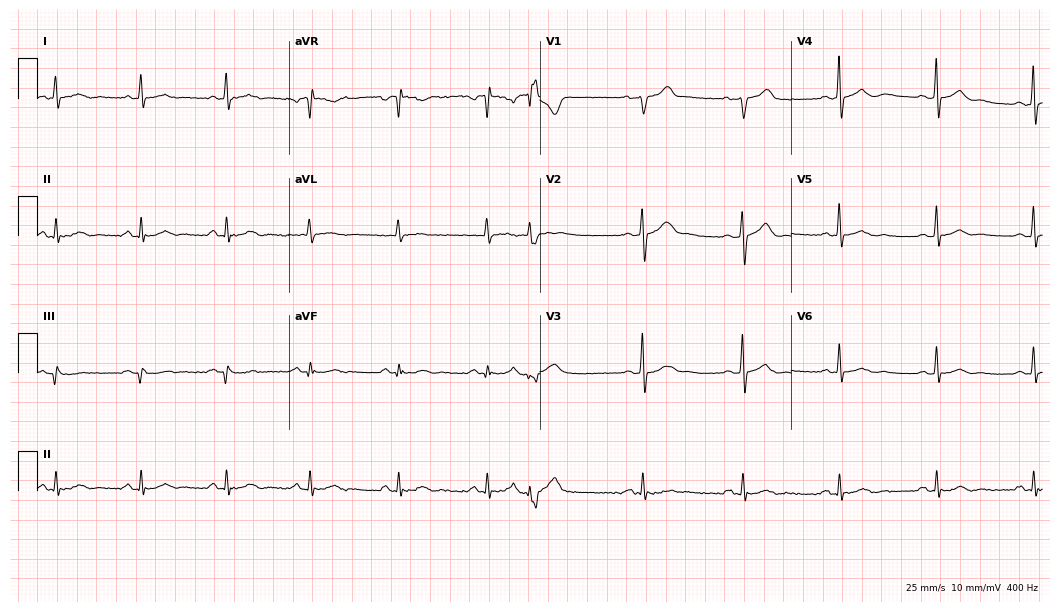
Electrocardiogram (10.2-second recording at 400 Hz), a man, 76 years old. Of the six screened findings (first-degree AV block, right bundle branch block, left bundle branch block, sinus bradycardia, atrial fibrillation, sinus tachycardia), none is recorded.